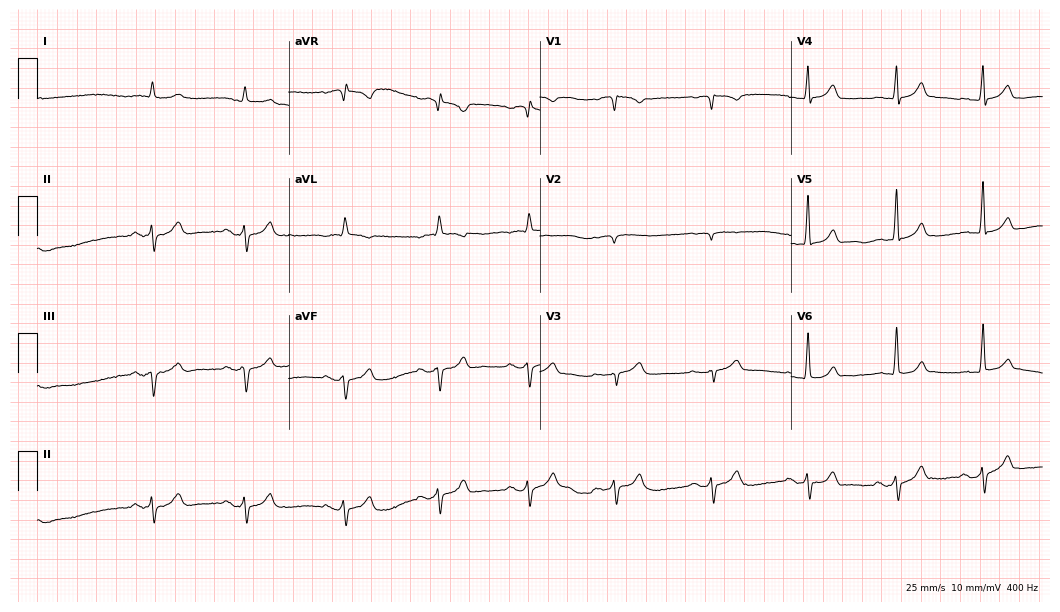
12-lead ECG from a male, 76 years old (10.2-second recording at 400 Hz). No first-degree AV block, right bundle branch block (RBBB), left bundle branch block (LBBB), sinus bradycardia, atrial fibrillation (AF) or sinus tachycardia recorded for this tracing.